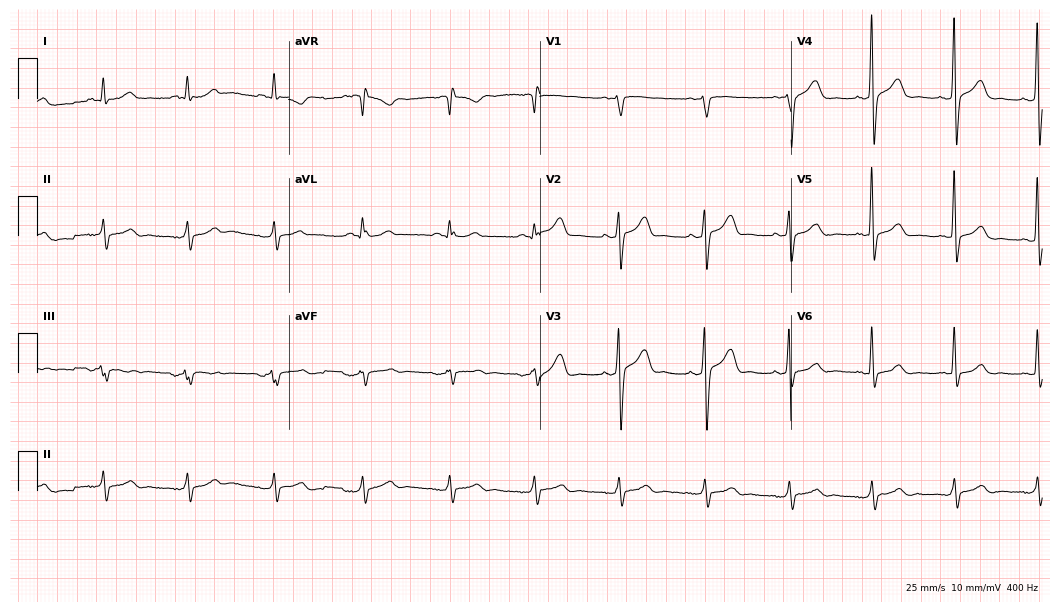
Standard 12-lead ECG recorded from a male patient, 49 years old. None of these six findings is recorded: first-degree AV block, right bundle branch block, left bundle branch block, sinus bradycardia, atrial fibrillation, sinus tachycardia.